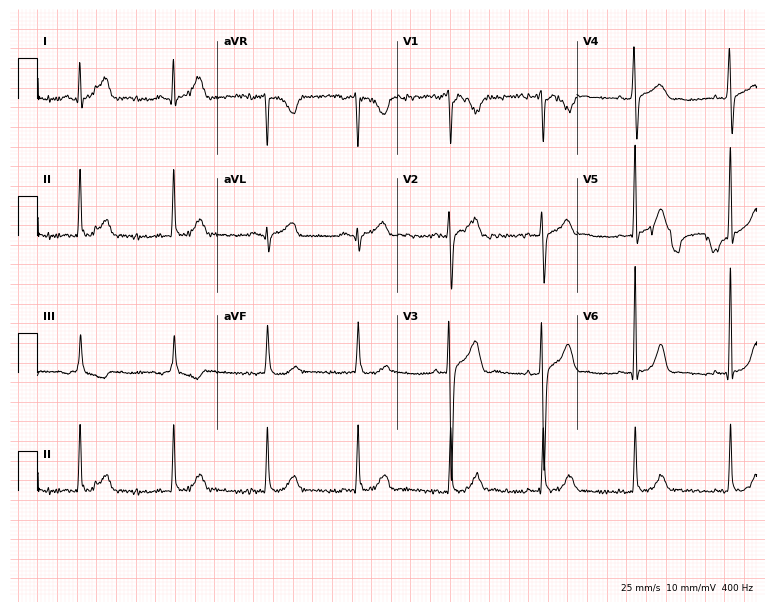
ECG — a 31-year-old male patient. Labelled as a normal ECG.